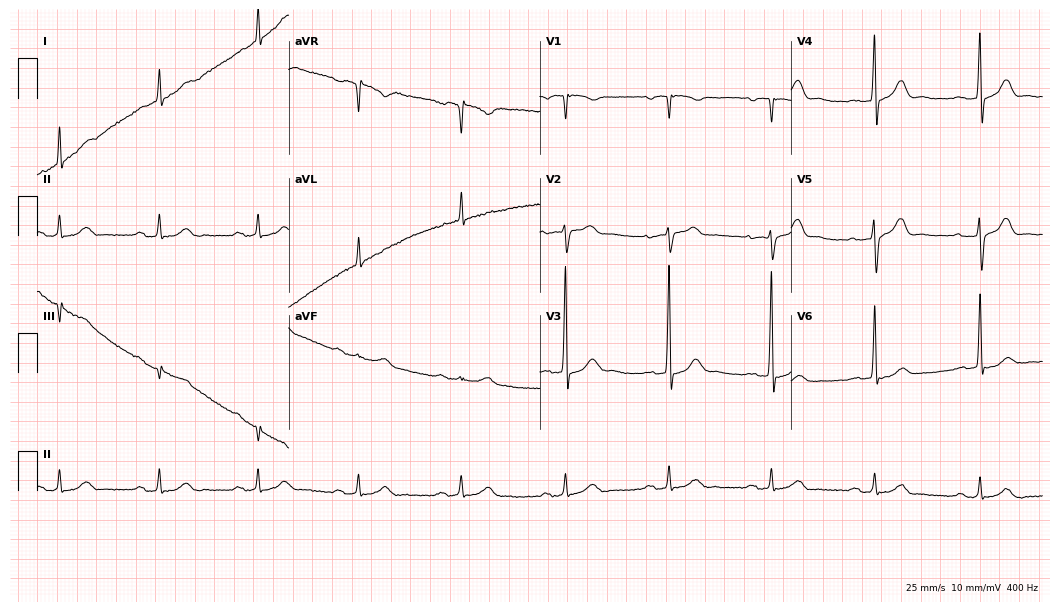
12-lead ECG from a 75-year-old male patient. Labelled as a normal ECG.